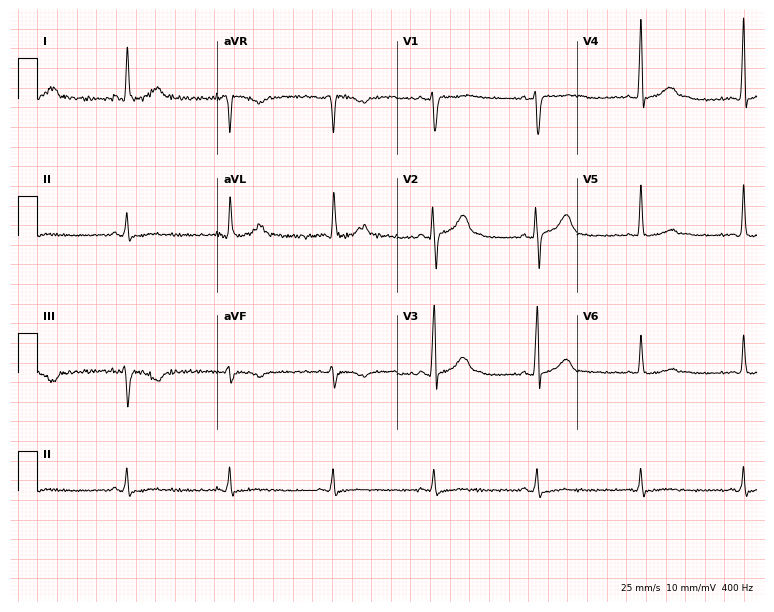
Resting 12-lead electrocardiogram. Patient: a 46-year-old man. None of these six findings is recorded: first-degree AV block, right bundle branch block, left bundle branch block, sinus bradycardia, atrial fibrillation, sinus tachycardia.